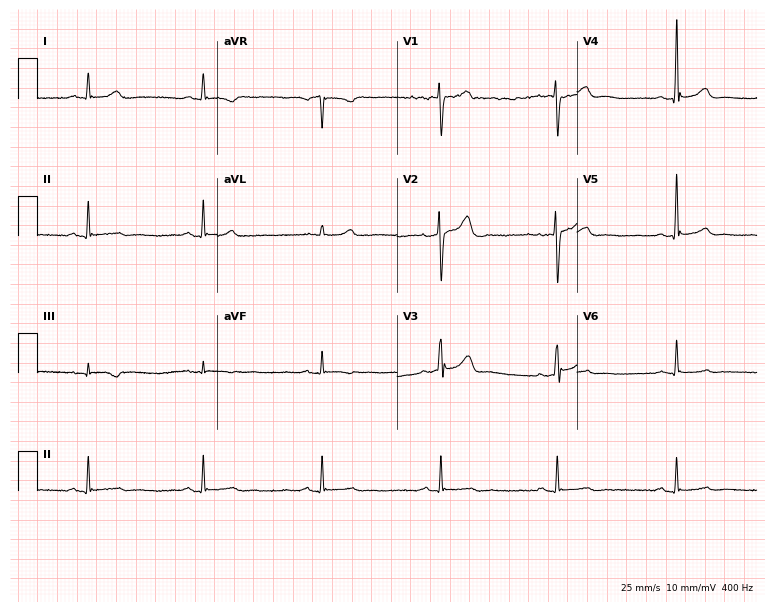
12-lead ECG (7.3-second recording at 400 Hz) from a male patient, 54 years old. Screened for six findings — first-degree AV block, right bundle branch block (RBBB), left bundle branch block (LBBB), sinus bradycardia, atrial fibrillation (AF), sinus tachycardia — none is recorded.